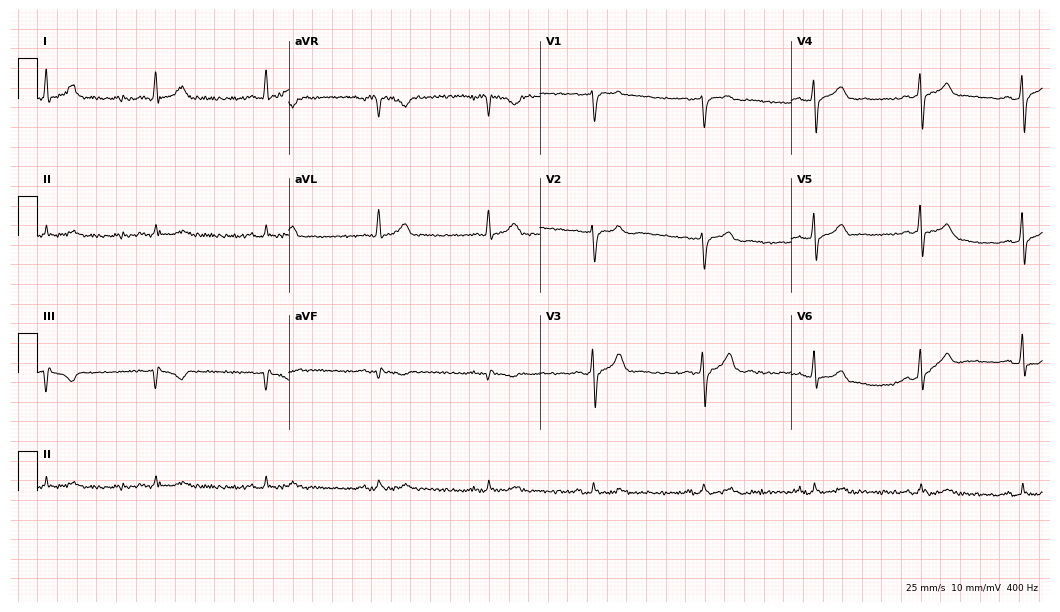
ECG — a 40-year-old male patient. Labelled as a normal ECG.